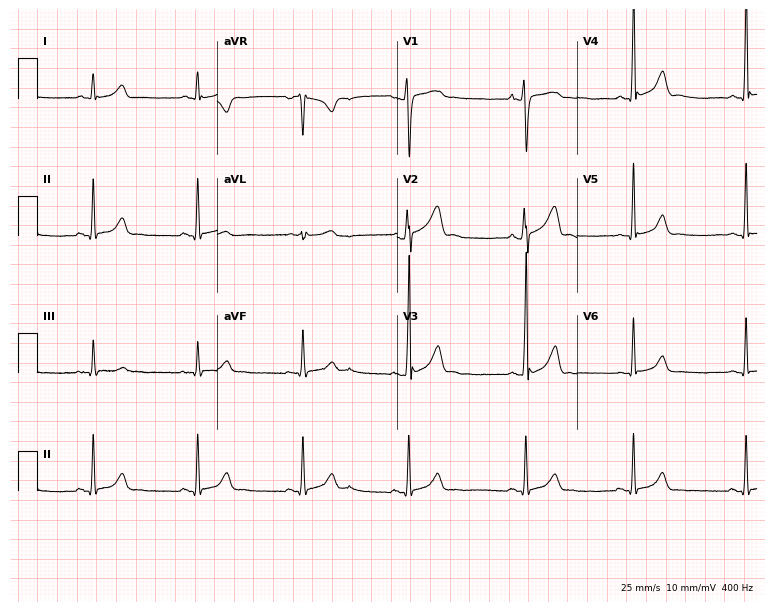
Electrocardiogram, a male patient, 24 years old. Of the six screened findings (first-degree AV block, right bundle branch block (RBBB), left bundle branch block (LBBB), sinus bradycardia, atrial fibrillation (AF), sinus tachycardia), none is recorded. Only these six findings were labelled.